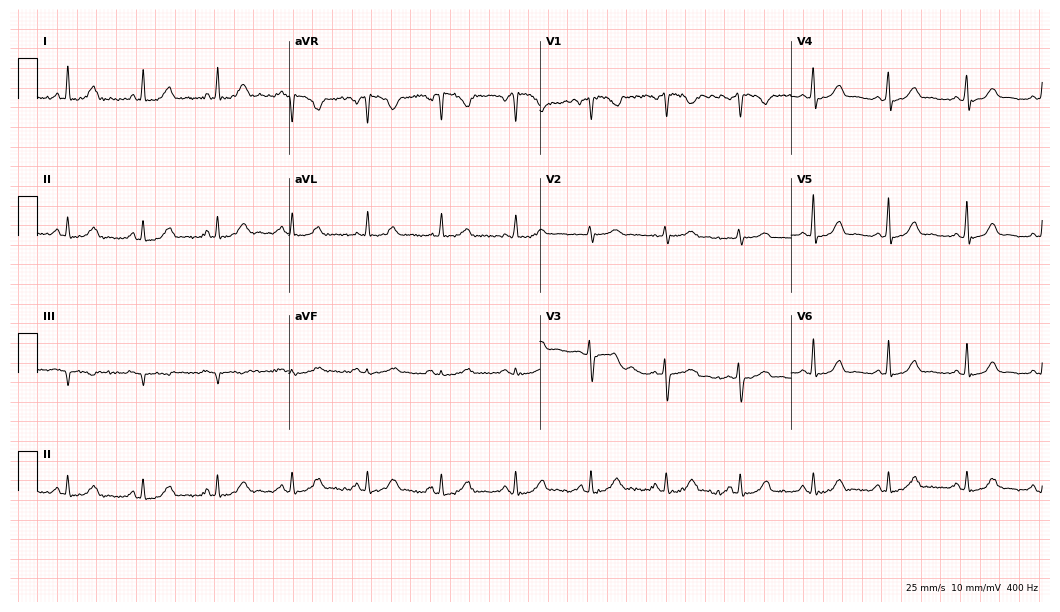
ECG — a female, 47 years old. Labelled as a normal ECG.